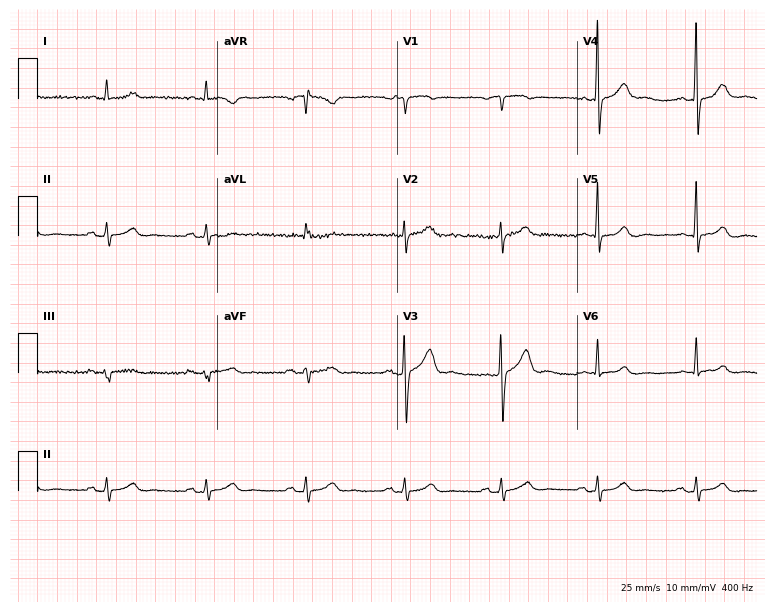
12-lead ECG from a 64-year-old man. Recorded interpretation: within normal limits.